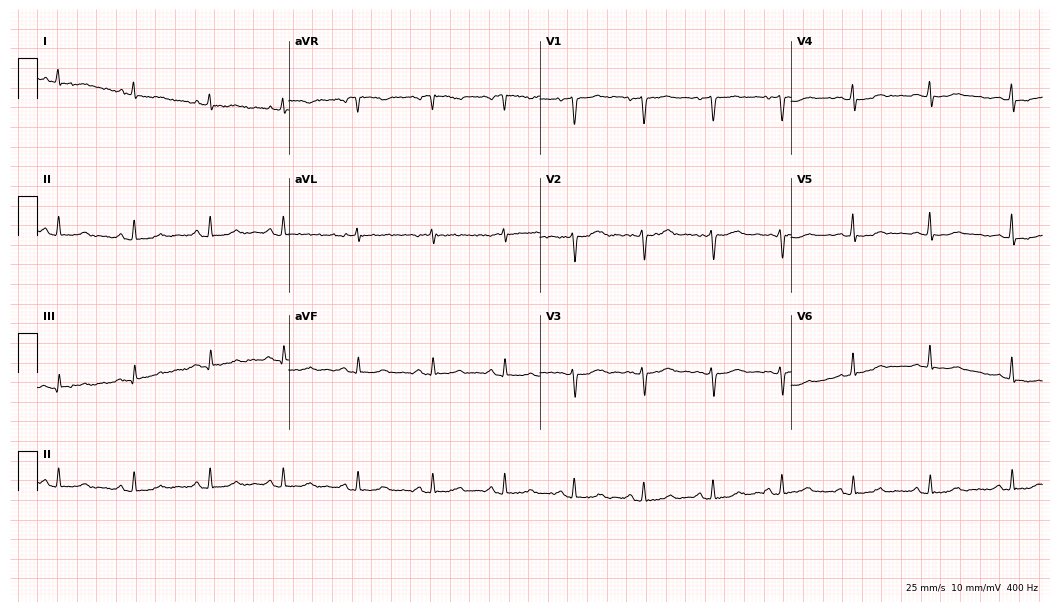
Electrocardiogram (10.2-second recording at 400 Hz), a female patient, 44 years old. Of the six screened findings (first-degree AV block, right bundle branch block (RBBB), left bundle branch block (LBBB), sinus bradycardia, atrial fibrillation (AF), sinus tachycardia), none is recorded. Other findings, if any, are not listed.